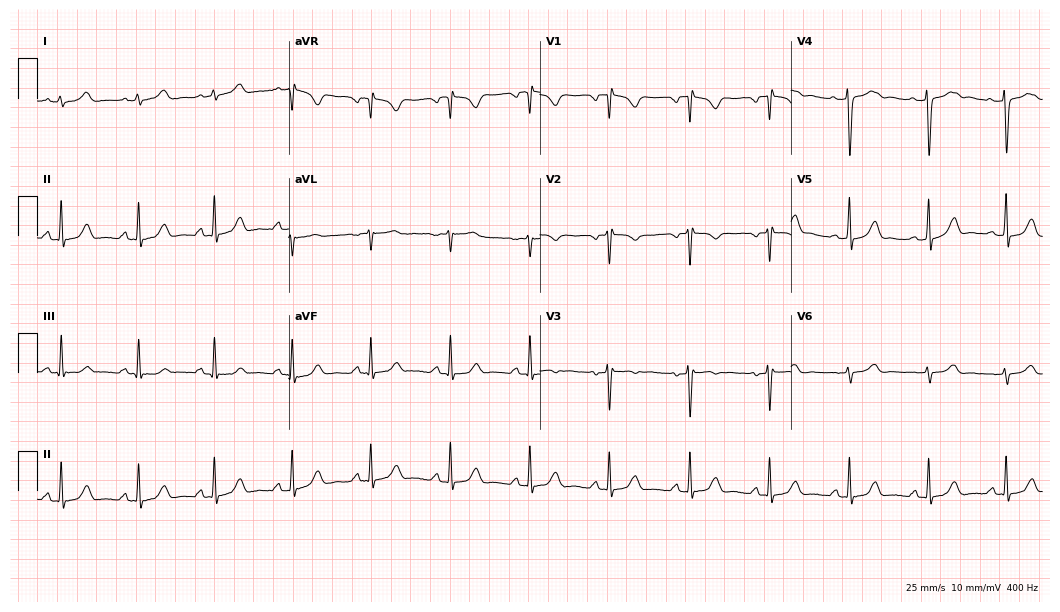
Resting 12-lead electrocardiogram. Patient: a 24-year-old woman. None of these six findings is recorded: first-degree AV block, right bundle branch block, left bundle branch block, sinus bradycardia, atrial fibrillation, sinus tachycardia.